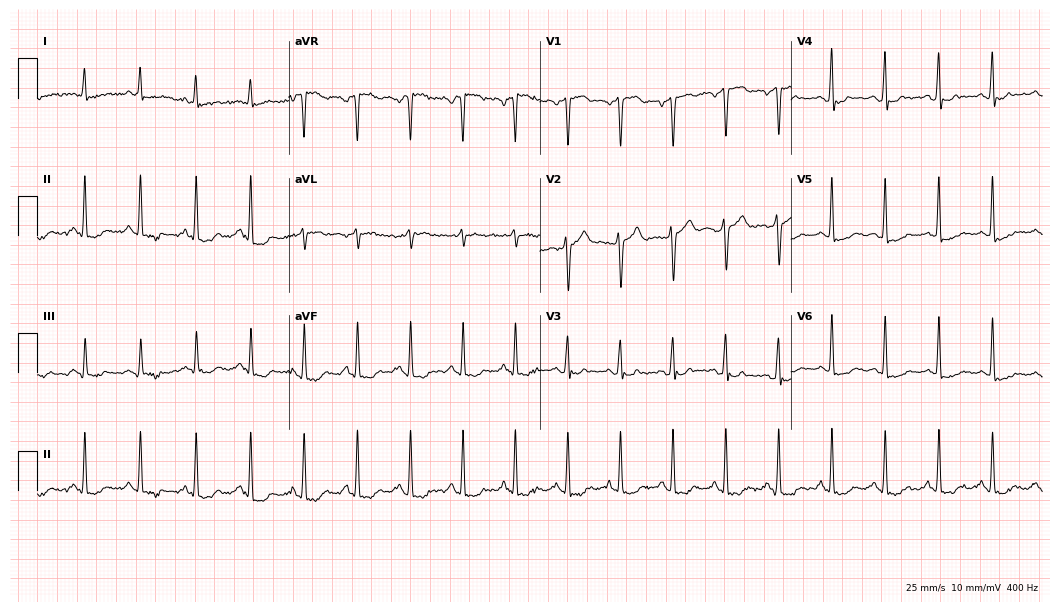
Electrocardiogram (10.2-second recording at 400 Hz), a male patient, 55 years old. Interpretation includes sinus tachycardia (a sinus rate of 100 beats per minute or more).